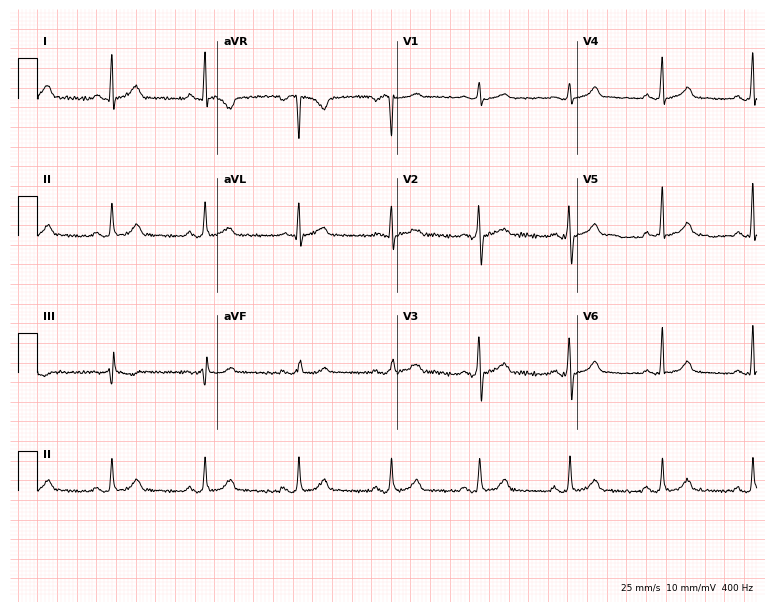
12-lead ECG from a woman, 35 years old (7.3-second recording at 400 Hz). No first-degree AV block, right bundle branch block (RBBB), left bundle branch block (LBBB), sinus bradycardia, atrial fibrillation (AF) or sinus tachycardia recorded for this tracing.